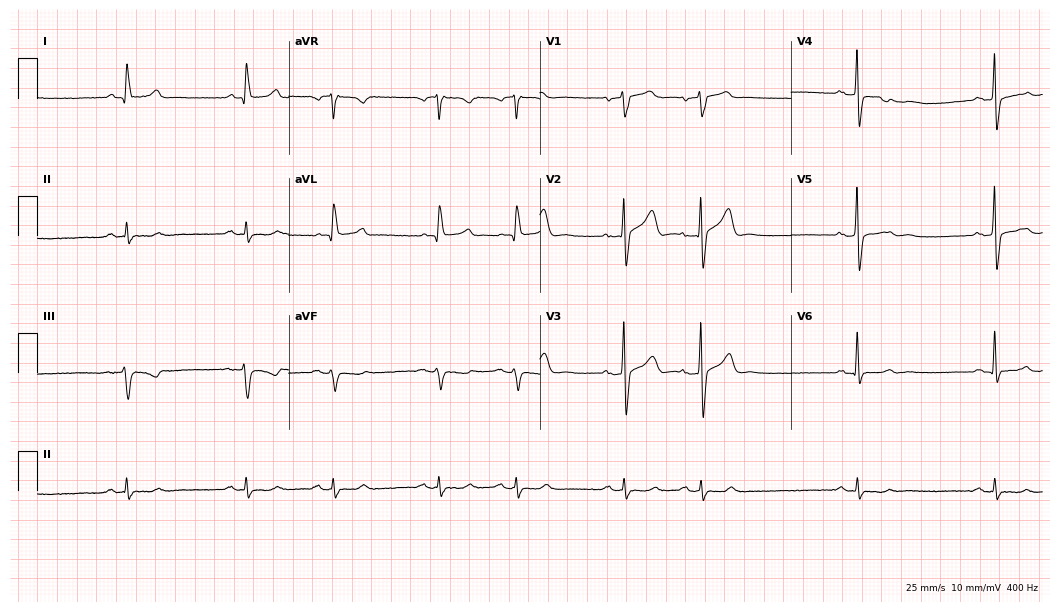
Resting 12-lead electrocardiogram. Patient: a 74-year-old male. None of these six findings is recorded: first-degree AV block, right bundle branch block, left bundle branch block, sinus bradycardia, atrial fibrillation, sinus tachycardia. Only these six findings were labelled.